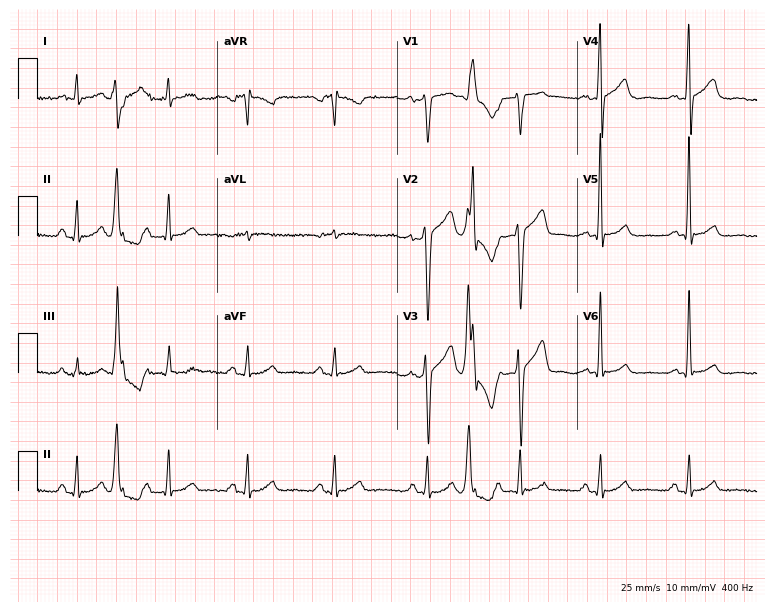
12-lead ECG from a 65-year-old man. No first-degree AV block, right bundle branch block, left bundle branch block, sinus bradycardia, atrial fibrillation or sinus tachycardia recorded for this tracing. Findings outside these six are not listed.